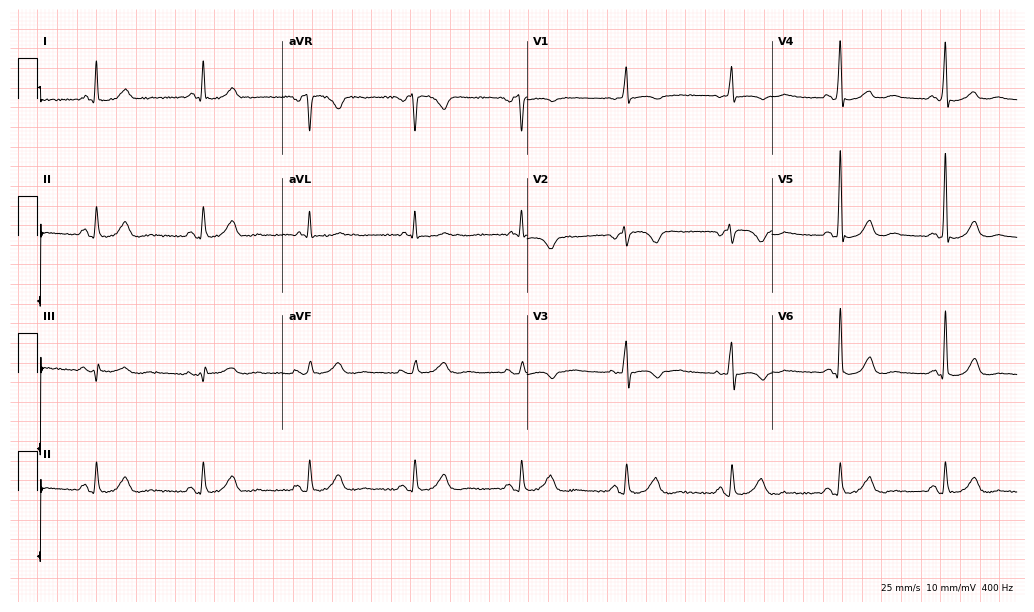
12-lead ECG (10-second recording at 400 Hz) from a 73-year-old female patient. Screened for six findings — first-degree AV block, right bundle branch block, left bundle branch block, sinus bradycardia, atrial fibrillation, sinus tachycardia — none is recorded. Other findings, if any, are not listed.